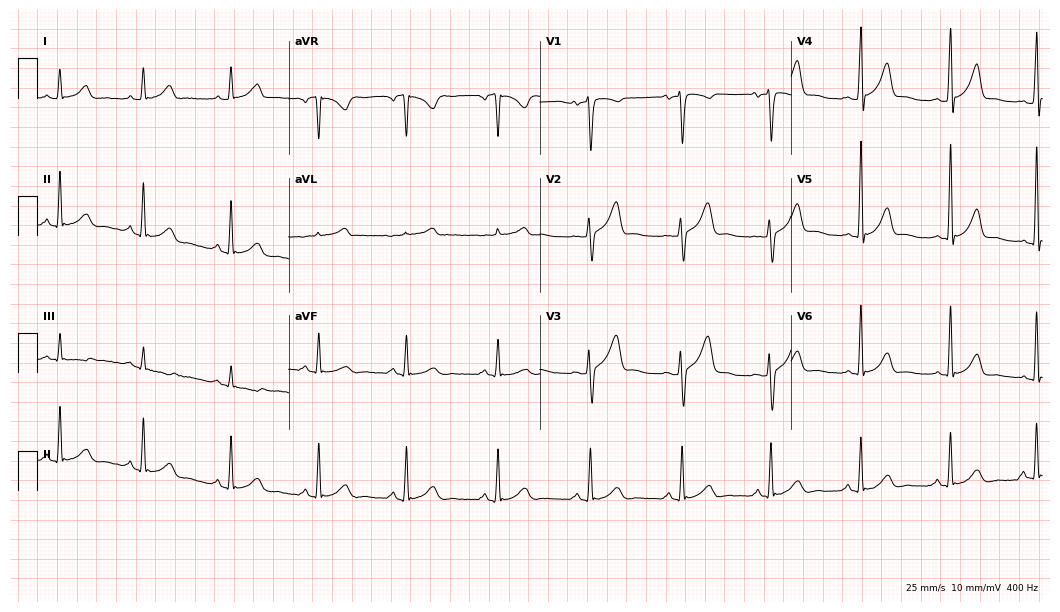
Standard 12-lead ECG recorded from a 40-year-old female (10.2-second recording at 400 Hz). Read as a normal ECG.